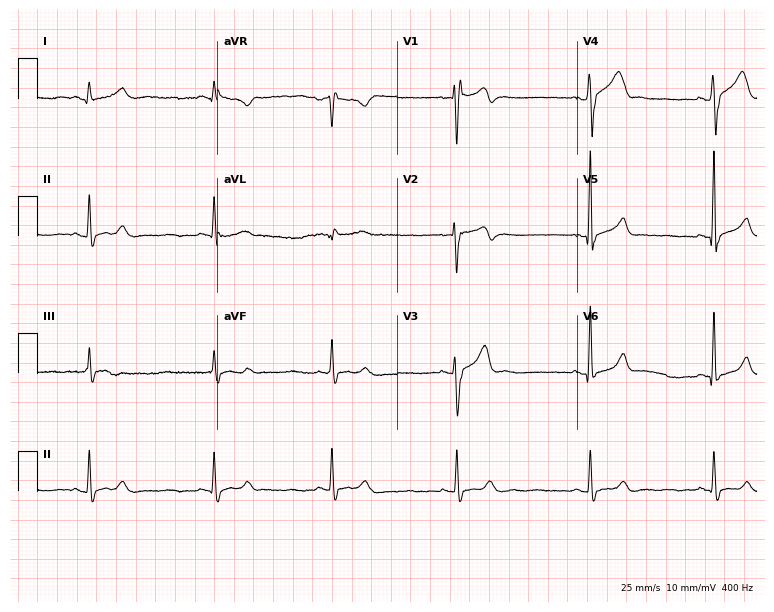
Electrocardiogram (7.3-second recording at 400 Hz), a 34-year-old man. Interpretation includes sinus bradycardia (a sinus rate of 50 beats per minute or less).